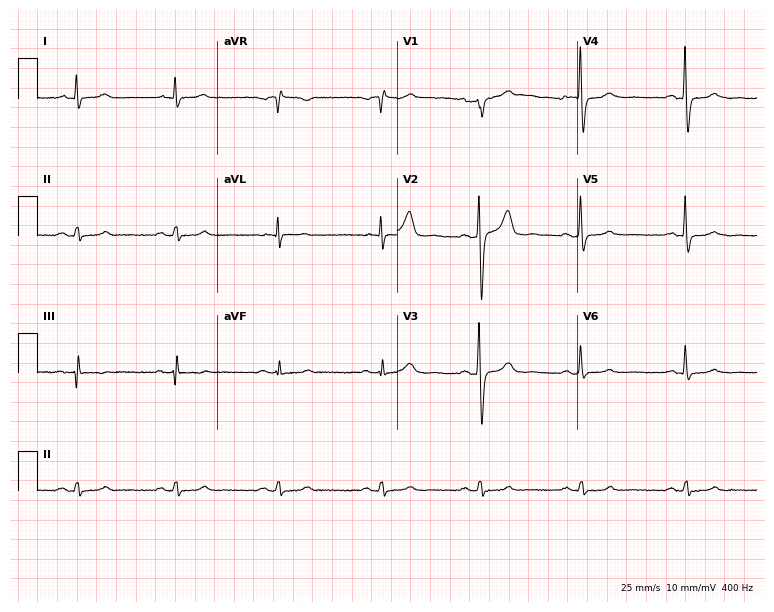
Resting 12-lead electrocardiogram. Patient: a male, 49 years old. None of these six findings is recorded: first-degree AV block, right bundle branch block, left bundle branch block, sinus bradycardia, atrial fibrillation, sinus tachycardia.